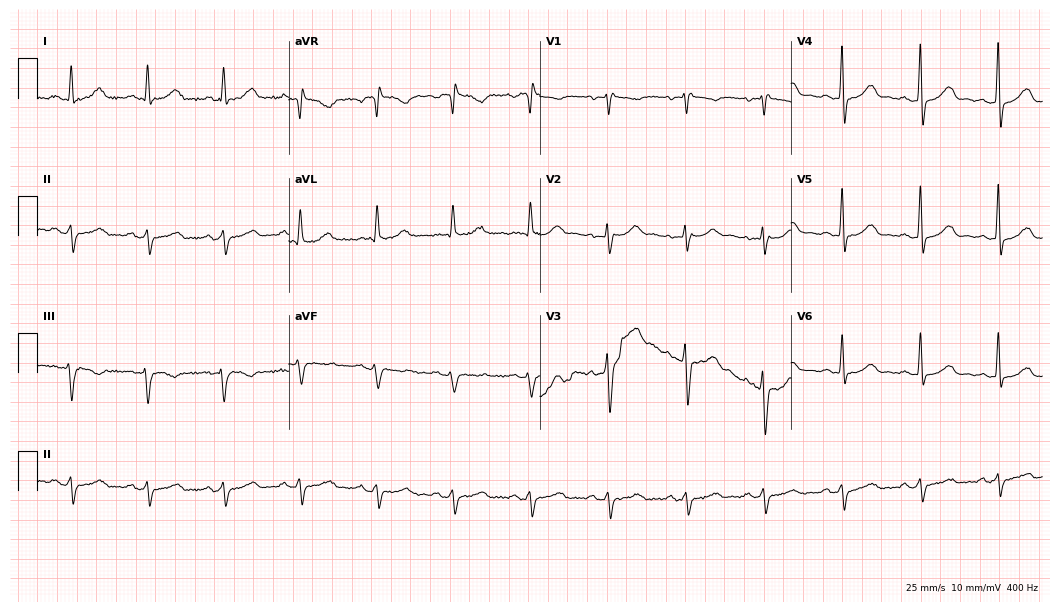
ECG — a male, 58 years old. Screened for six findings — first-degree AV block, right bundle branch block (RBBB), left bundle branch block (LBBB), sinus bradycardia, atrial fibrillation (AF), sinus tachycardia — none is recorded.